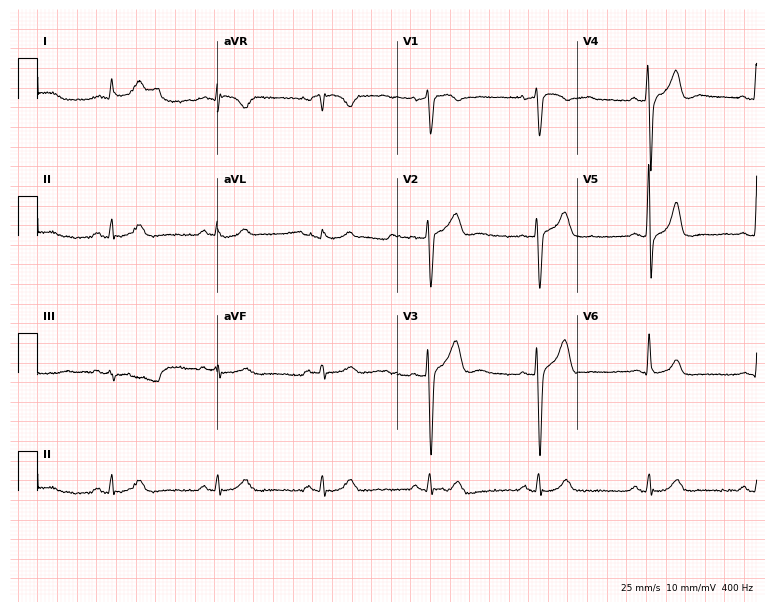
Standard 12-lead ECG recorded from a 53-year-old male patient. Read as a normal ECG.